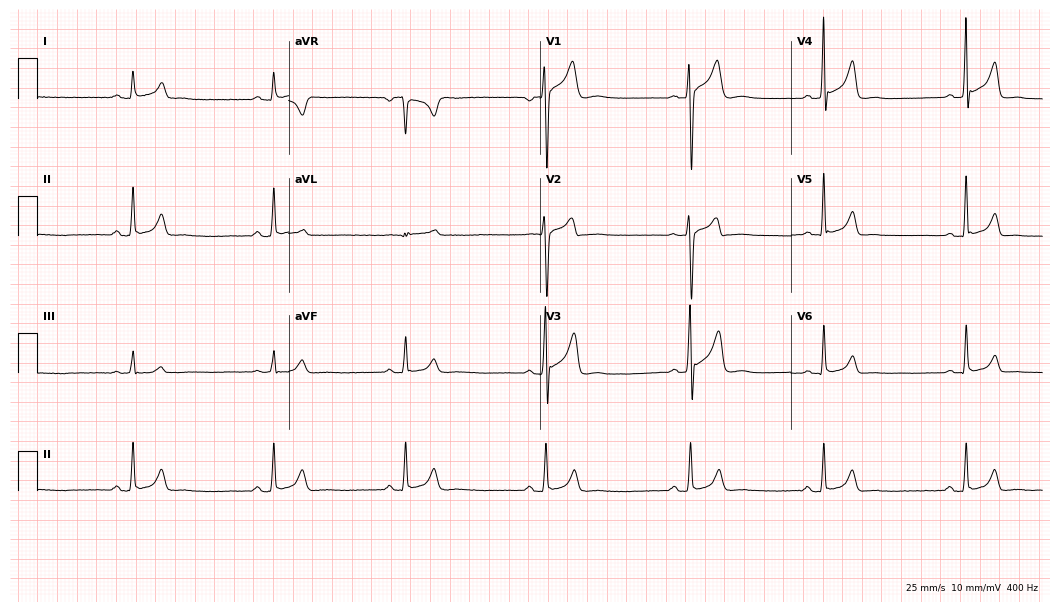
Electrocardiogram (10.2-second recording at 400 Hz), a female, 32 years old. Interpretation includes sinus bradycardia (a sinus rate of 50 beats per minute or less).